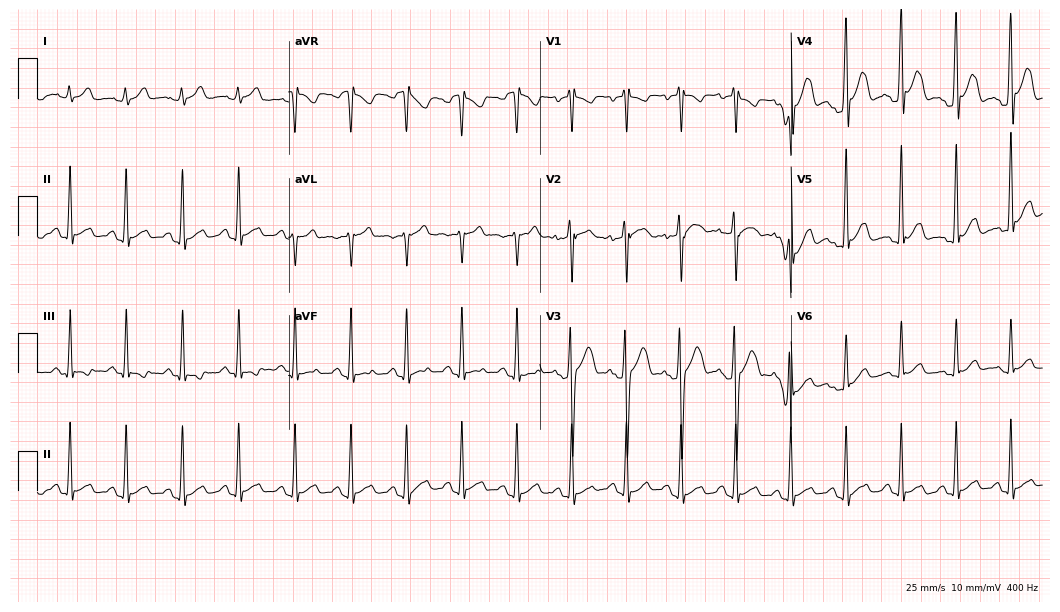
Electrocardiogram, a male, 21 years old. Interpretation includes sinus tachycardia (a sinus rate of 100 beats per minute or more).